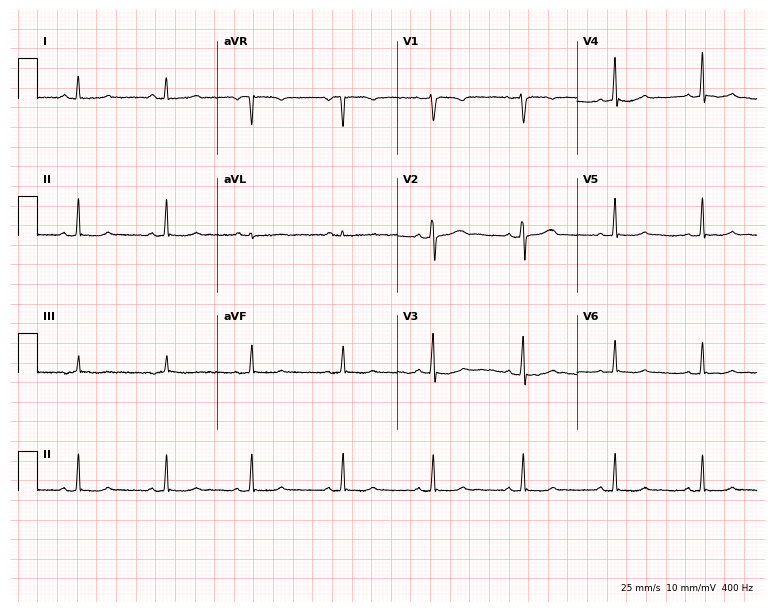
Resting 12-lead electrocardiogram (7.3-second recording at 400 Hz). Patient: a 22-year-old female. None of these six findings is recorded: first-degree AV block, right bundle branch block, left bundle branch block, sinus bradycardia, atrial fibrillation, sinus tachycardia. Only these six findings were labelled.